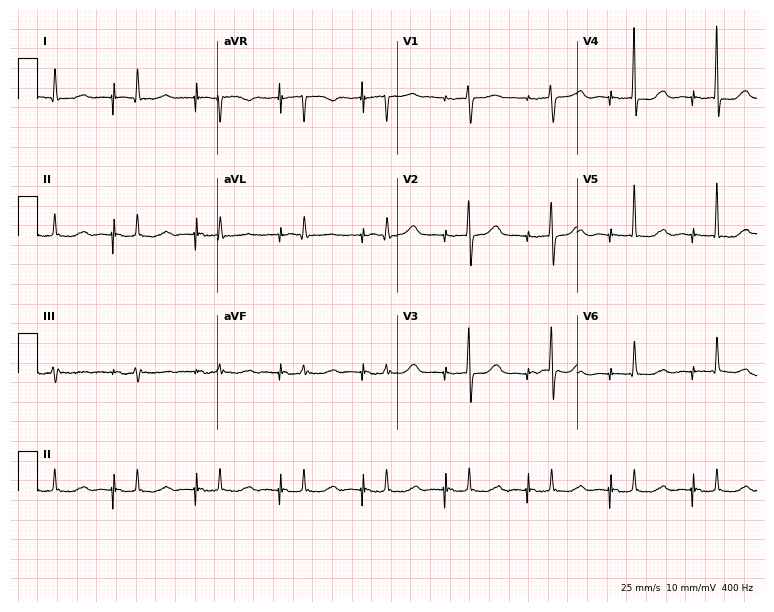
ECG (7.3-second recording at 400 Hz) — a woman, 82 years old. Screened for six findings — first-degree AV block, right bundle branch block, left bundle branch block, sinus bradycardia, atrial fibrillation, sinus tachycardia — none is recorded. Only these six findings were labelled.